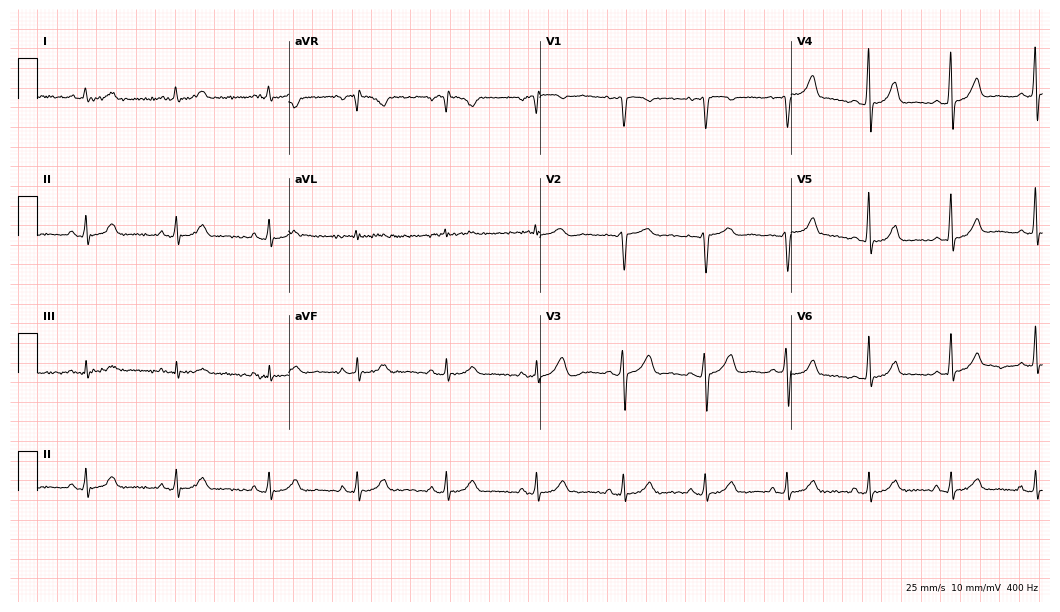
Standard 12-lead ECG recorded from a female, 37 years old (10.2-second recording at 400 Hz). Read as a normal ECG.